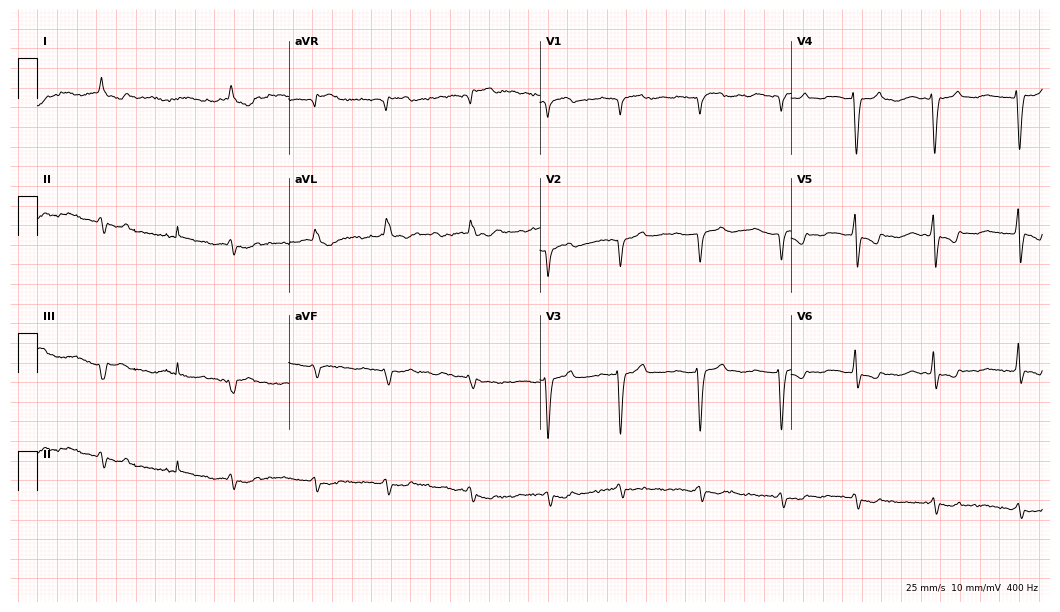
12-lead ECG from a female patient, 76 years old (10.2-second recording at 400 Hz). No first-degree AV block, right bundle branch block (RBBB), left bundle branch block (LBBB), sinus bradycardia, atrial fibrillation (AF) or sinus tachycardia recorded for this tracing. Only these six findings were labelled.